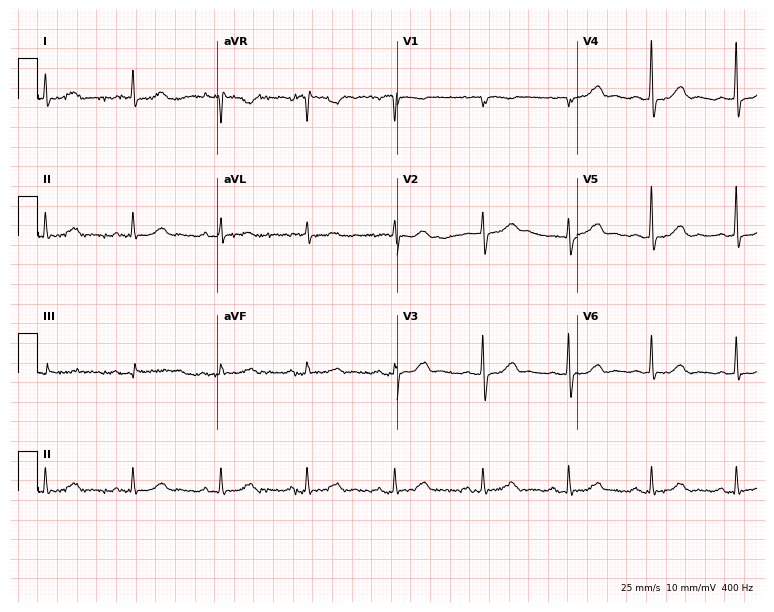
12-lead ECG from a female patient, 84 years old. Recorded interpretation: within normal limits.